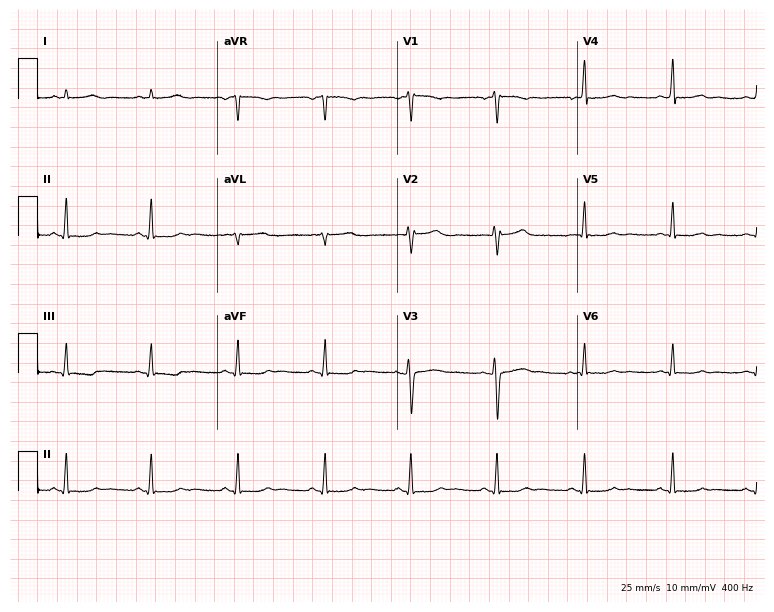
Electrocardiogram (7.3-second recording at 400 Hz), a 50-year-old female patient. Of the six screened findings (first-degree AV block, right bundle branch block (RBBB), left bundle branch block (LBBB), sinus bradycardia, atrial fibrillation (AF), sinus tachycardia), none is recorded.